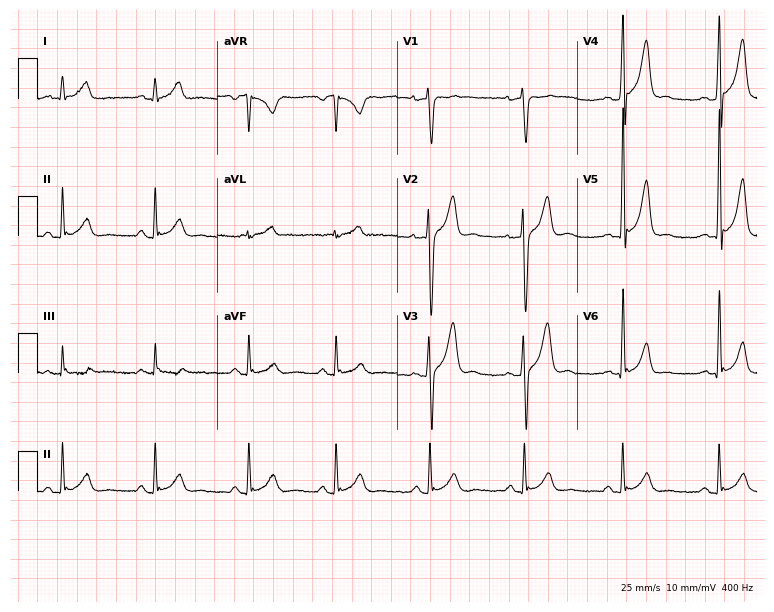
12-lead ECG from a male, 40 years old. Recorded interpretation: within normal limits.